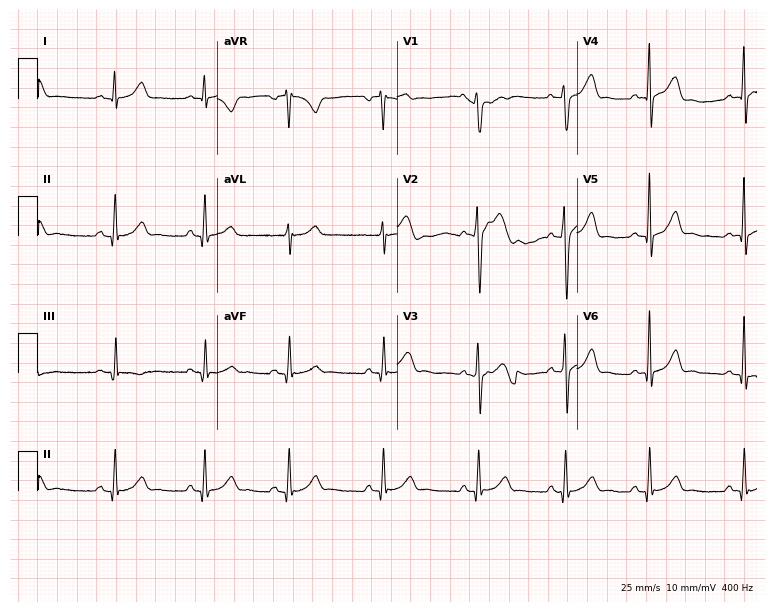
12-lead ECG from a 20-year-old man (7.3-second recording at 400 Hz). No first-degree AV block, right bundle branch block, left bundle branch block, sinus bradycardia, atrial fibrillation or sinus tachycardia recorded for this tracing.